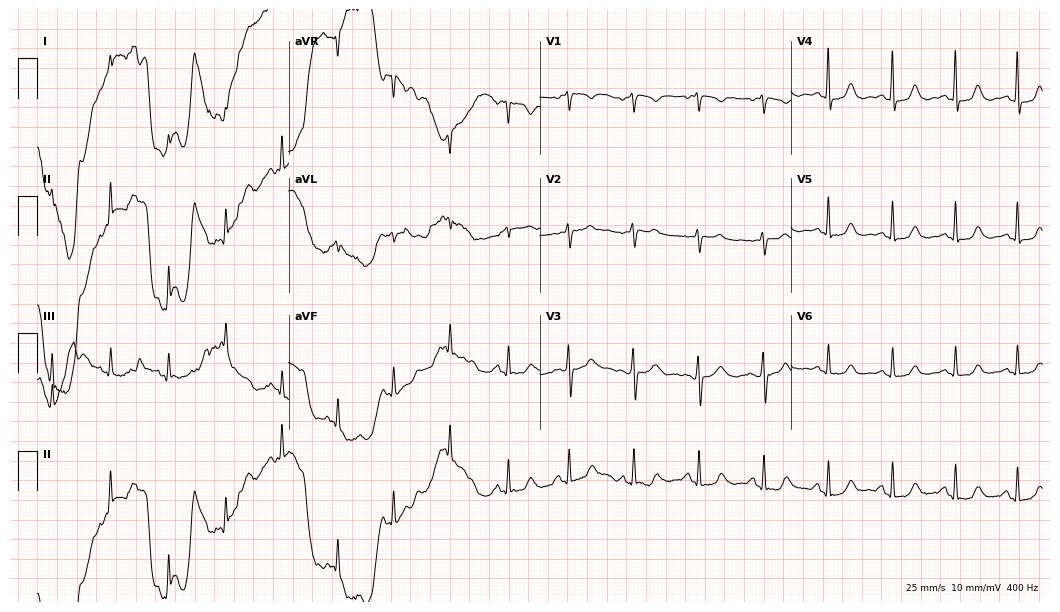
ECG (10.2-second recording at 400 Hz) — a 66-year-old female. Labelled as a normal ECG.